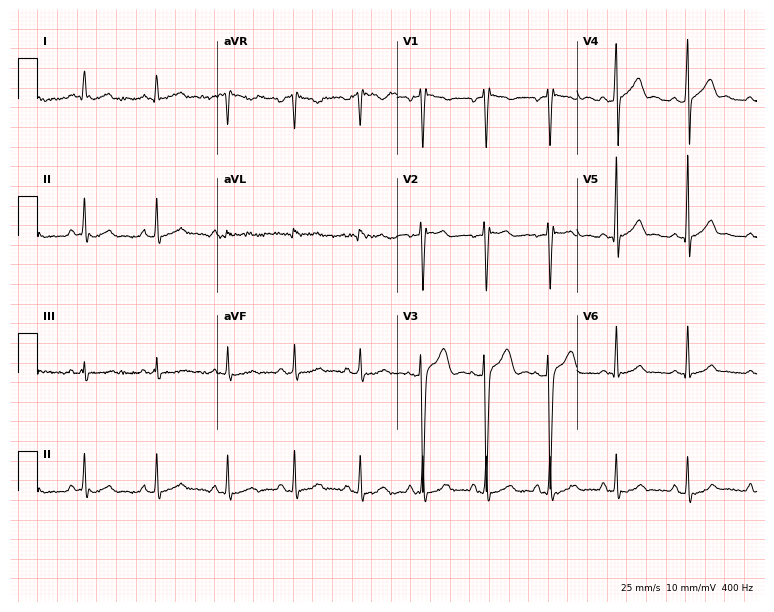
Electrocardiogram (7.3-second recording at 400 Hz), a man, 19 years old. Of the six screened findings (first-degree AV block, right bundle branch block, left bundle branch block, sinus bradycardia, atrial fibrillation, sinus tachycardia), none is recorded.